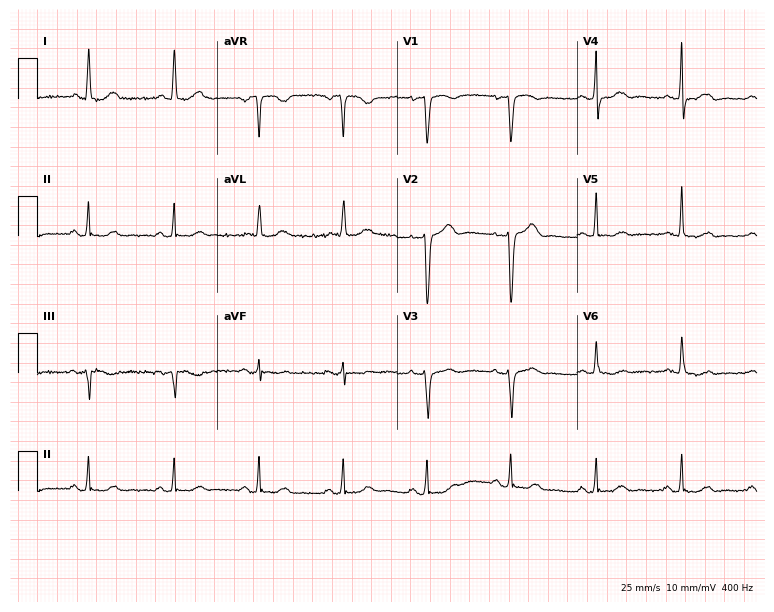
Electrocardiogram, a female patient, 65 years old. Of the six screened findings (first-degree AV block, right bundle branch block, left bundle branch block, sinus bradycardia, atrial fibrillation, sinus tachycardia), none is recorded.